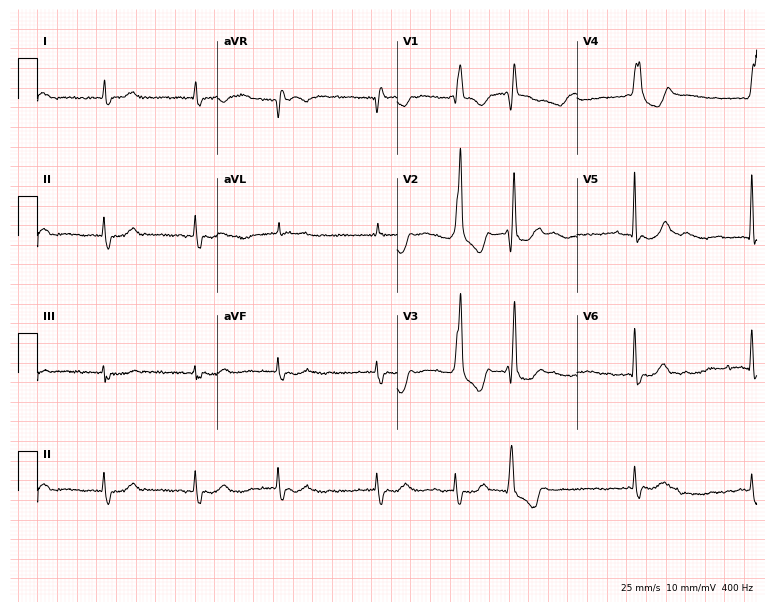
Standard 12-lead ECG recorded from a female, 83 years old (7.3-second recording at 400 Hz). The tracing shows right bundle branch block, atrial fibrillation.